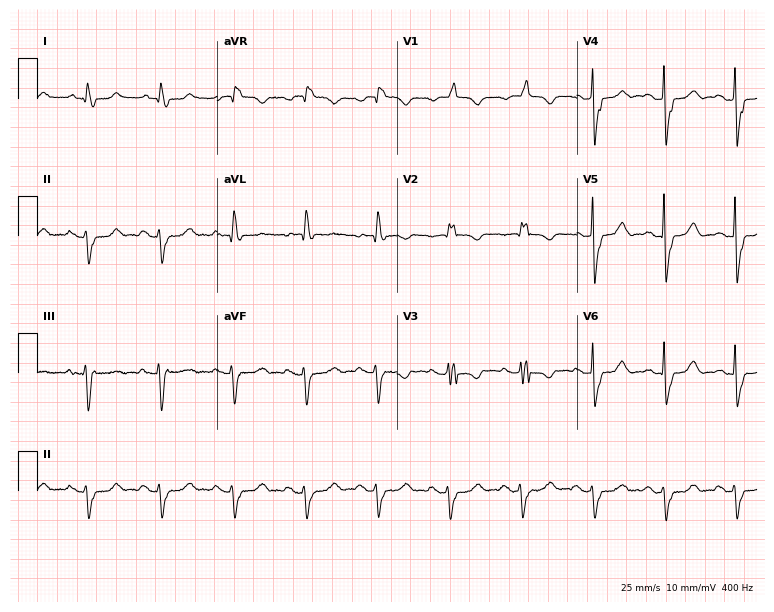
12-lead ECG (7.3-second recording at 400 Hz) from a woman, 71 years old. Findings include right bundle branch block.